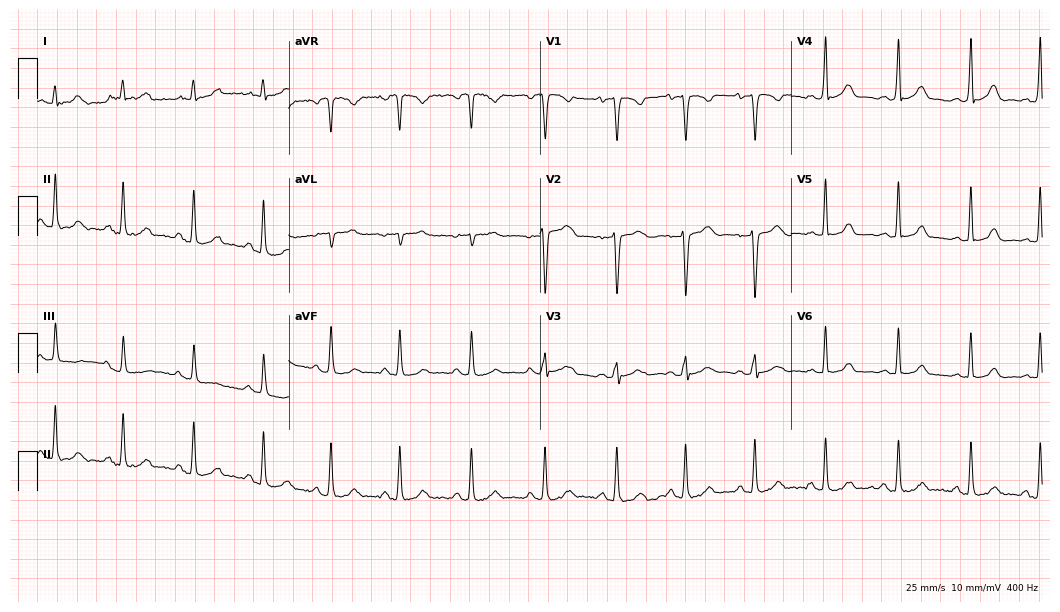
12-lead ECG (10.2-second recording at 400 Hz) from a female, 36 years old. Labelled as a normal ECG.